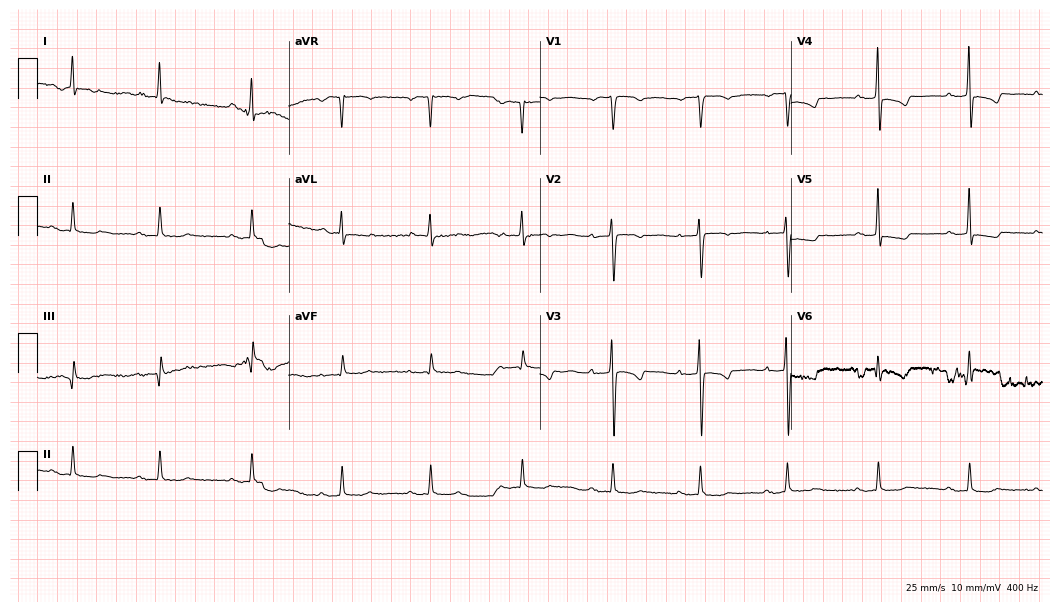
Resting 12-lead electrocardiogram (10.2-second recording at 400 Hz). Patient: a female, 75 years old. None of these six findings is recorded: first-degree AV block, right bundle branch block, left bundle branch block, sinus bradycardia, atrial fibrillation, sinus tachycardia. Other findings, if any, are not listed.